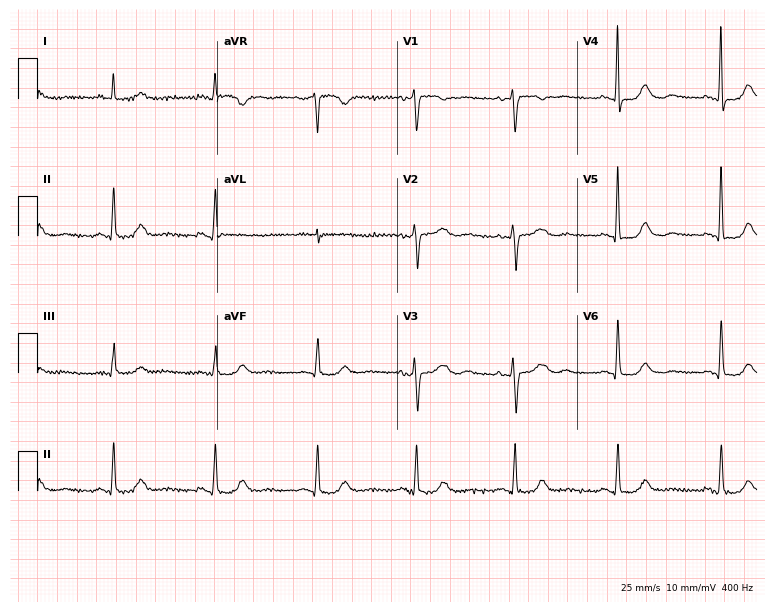
ECG (7.3-second recording at 400 Hz) — a 76-year-old female. Labelled as a normal ECG.